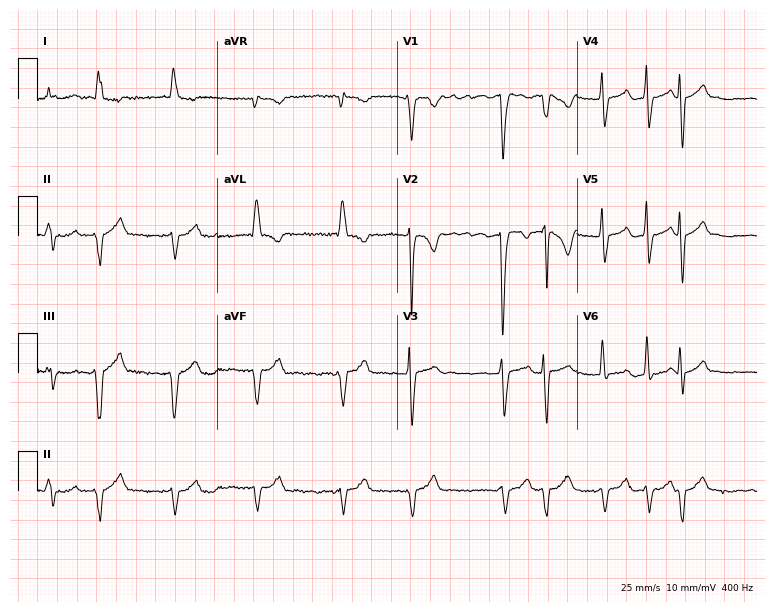
Electrocardiogram, a female, 84 years old. Interpretation includes atrial fibrillation.